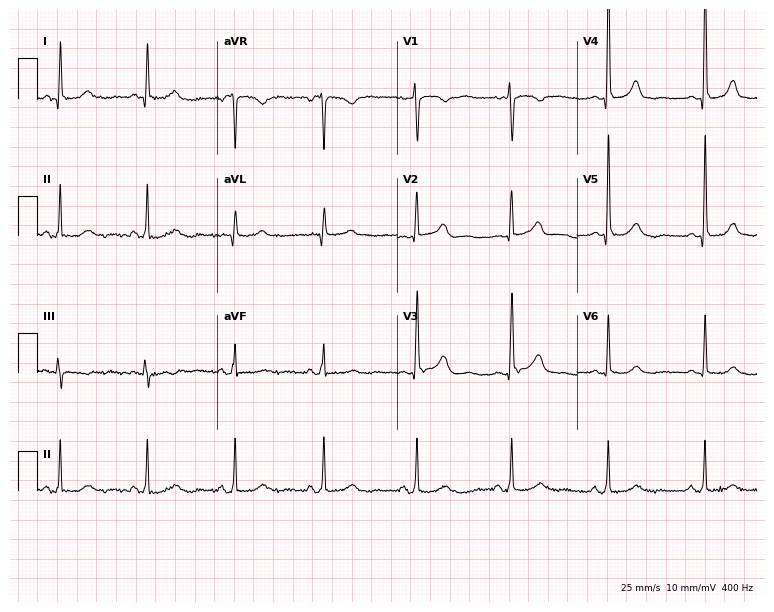
Resting 12-lead electrocardiogram (7.3-second recording at 400 Hz). Patient: a woman, 64 years old. Read as a normal ECG.